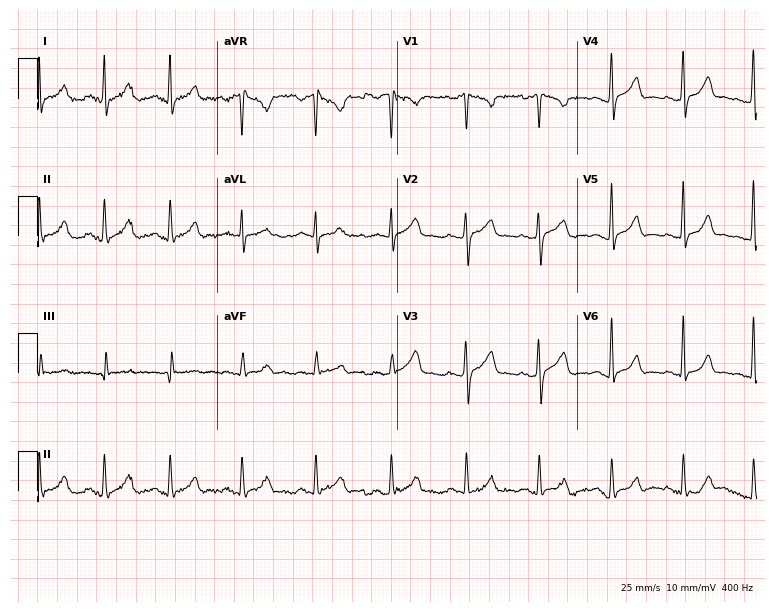
12-lead ECG from a male, 24 years old. Labelled as a normal ECG.